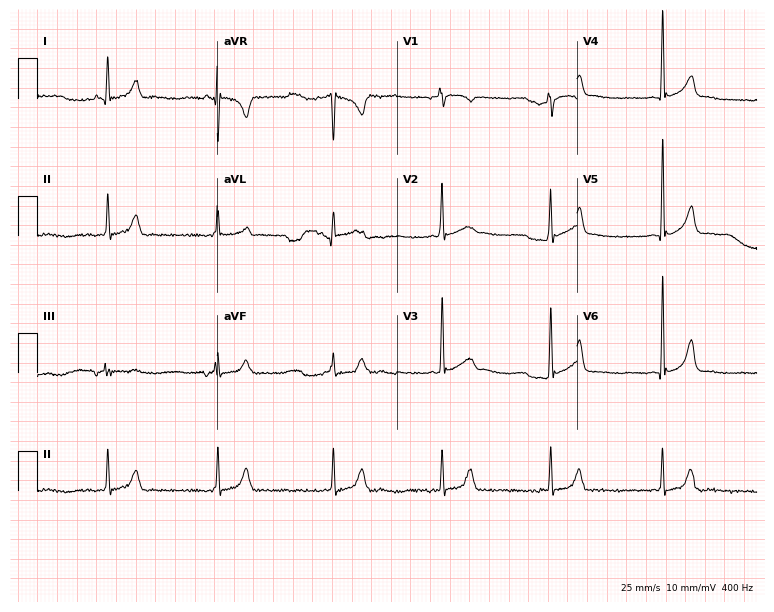
Resting 12-lead electrocardiogram. Patient: a 22-year-old woman. Read as a normal ECG.